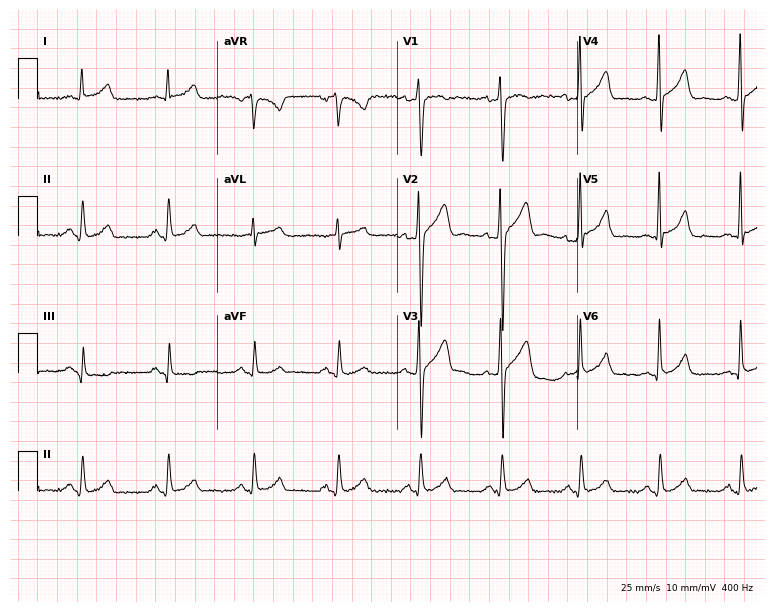
12-lead ECG (7.3-second recording at 400 Hz) from a 30-year-old male. Screened for six findings — first-degree AV block, right bundle branch block (RBBB), left bundle branch block (LBBB), sinus bradycardia, atrial fibrillation (AF), sinus tachycardia — none is recorded.